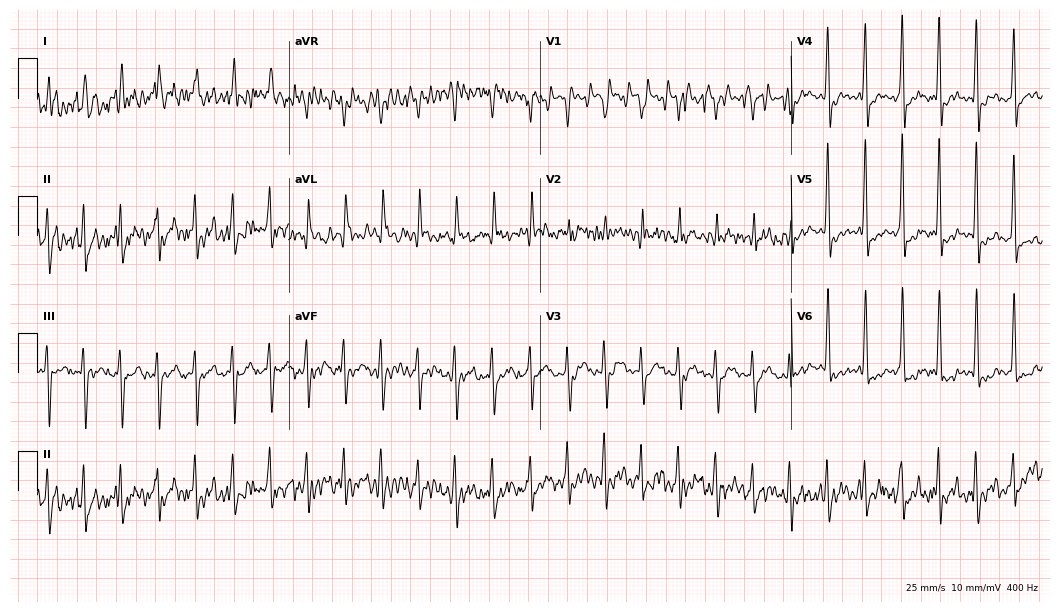
12-lead ECG from a 72-year-old male. No first-degree AV block, right bundle branch block, left bundle branch block, sinus bradycardia, atrial fibrillation or sinus tachycardia recorded for this tracing. Findings outside these six are not listed.